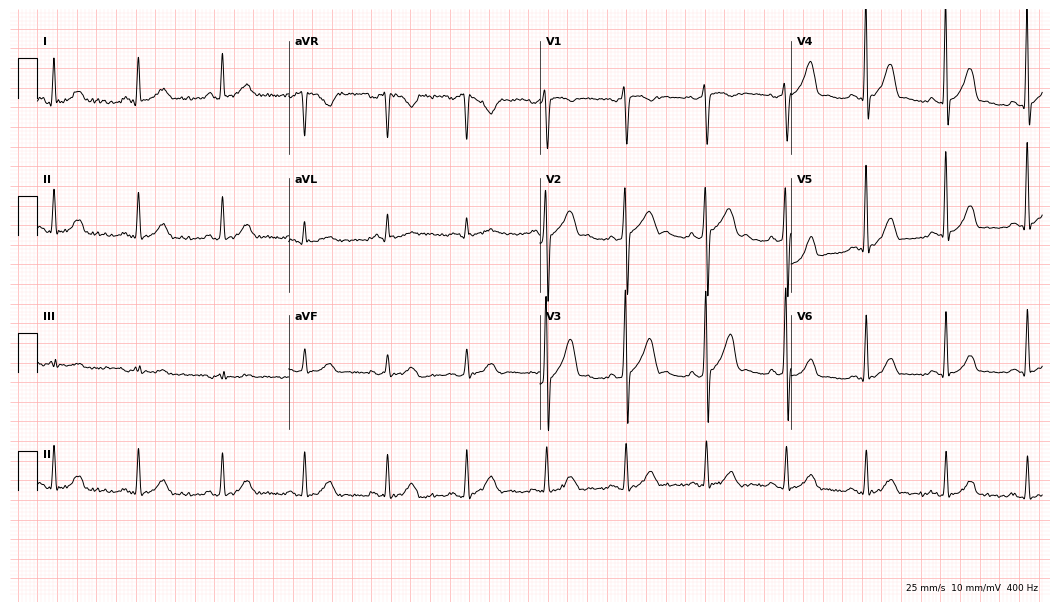
Standard 12-lead ECG recorded from a 49-year-old man (10.2-second recording at 400 Hz). None of these six findings is recorded: first-degree AV block, right bundle branch block (RBBB), left bundle branch block (LBBB), sinus bradycardia, atrial fibrillation (AF), sinus tachycardia.